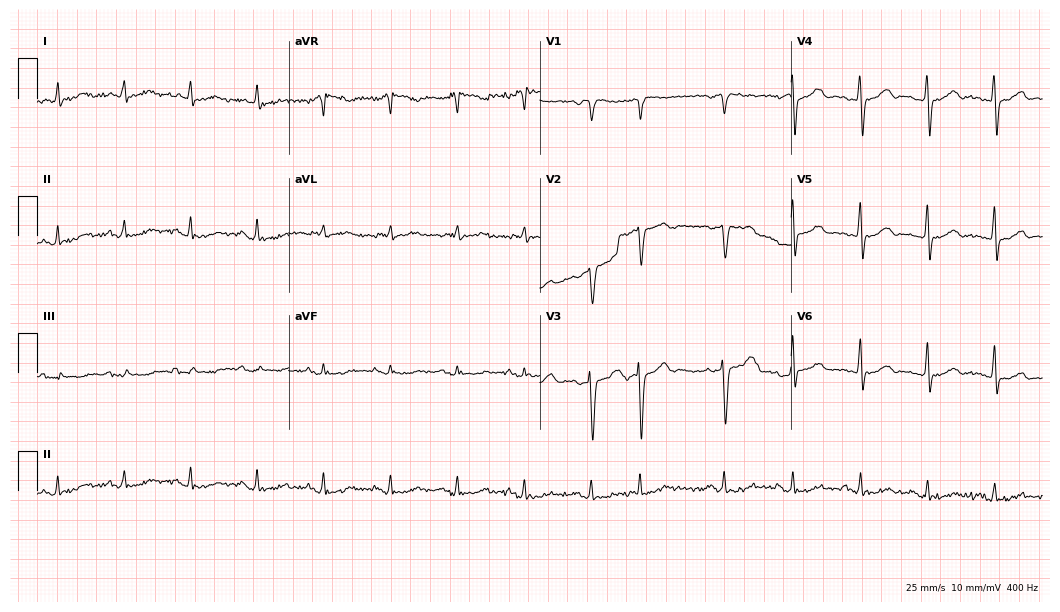
12-lead ECG from a male patient, 66 years old (10.2-second recording at 400 Hz). Recorded interpretation: within normal limits.